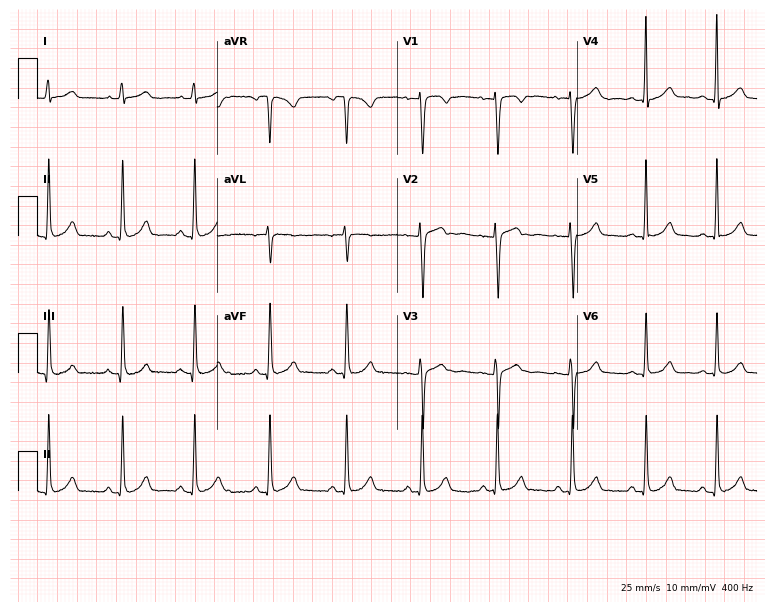
Standard 12-lead ECG recorded from a woman, 23 years old (7.3-second recording at 400 Hz). Read as a normal ECG.